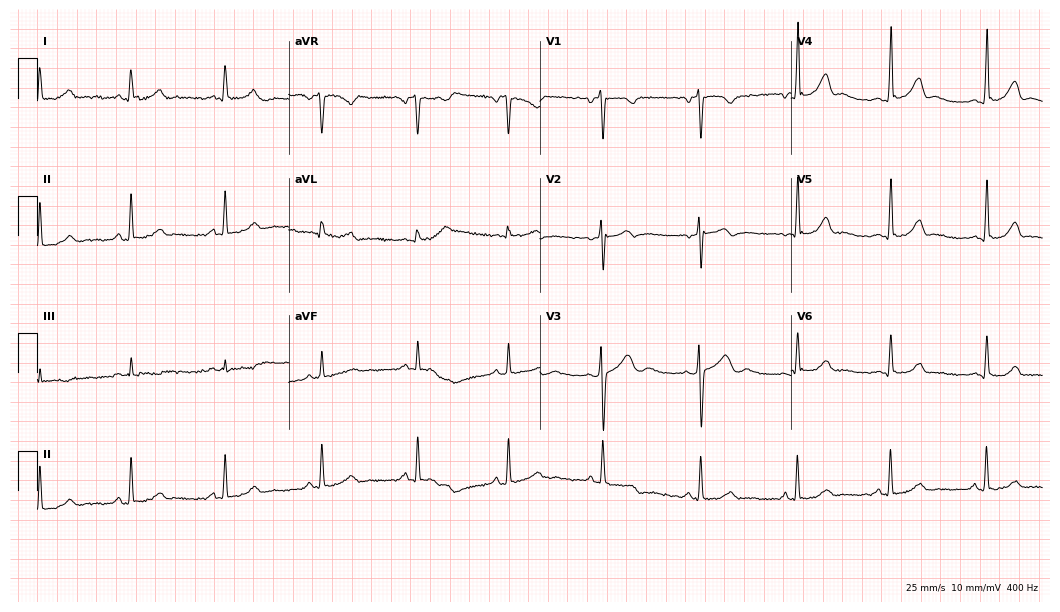
12-lead ECG from a 26-year-old female (10.2-second recording at 400 Hz). Recorded interpretation: within normal limits.